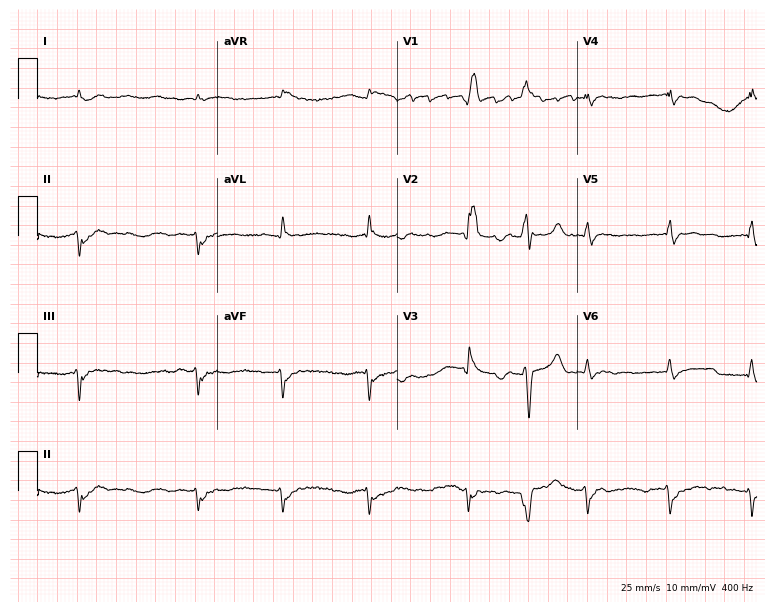
Standard 12-lead ECG recorded from a male, 69 years old (7.3-second recording at 400 Hz). The tracing shows atrial fibrillation.